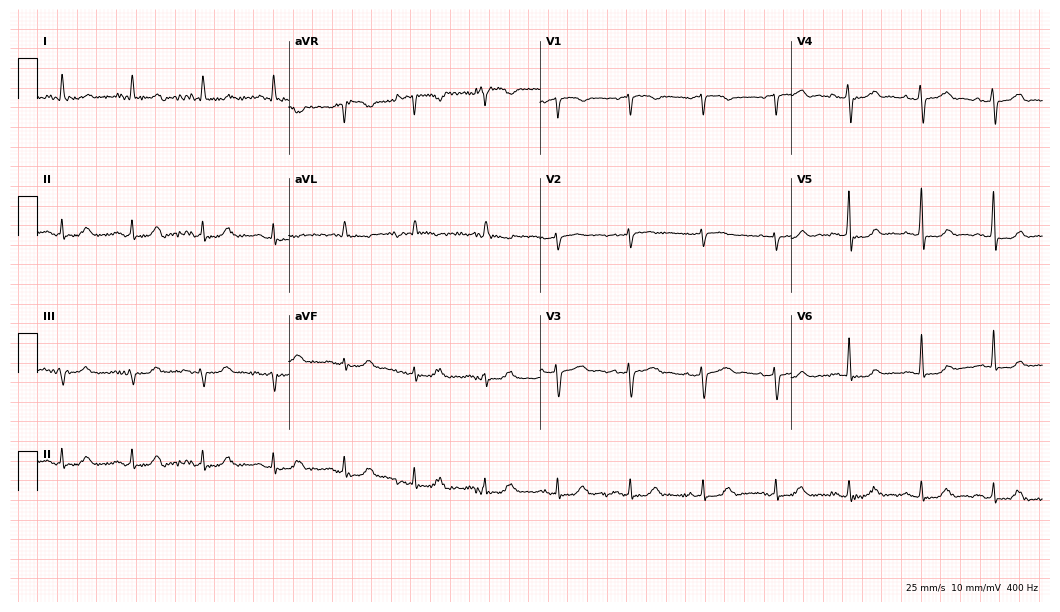
ECG (10.2-second recording at 400 Hz) — a female patient, 71 years old. Labelled as a normal ECG.